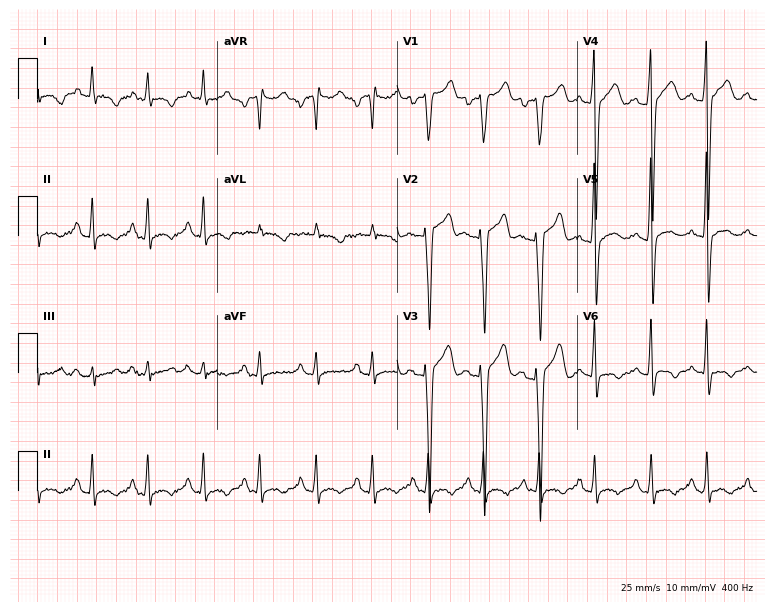
Resting 12-lead electrocardiogram (7.3-second recording at 400 Hz). Patient: a 27-year-old male. The tracing shows sinus tachycardia (a sinus rate of 100 beats per minute or more).